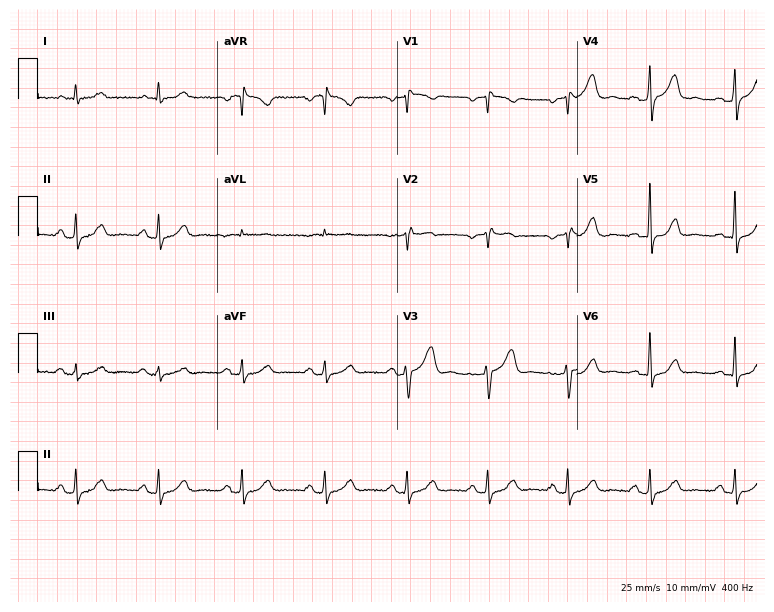
ECG (7.3-second recording at 400 Hz) — a 58-year-old female. Labelled as a normal ECG.